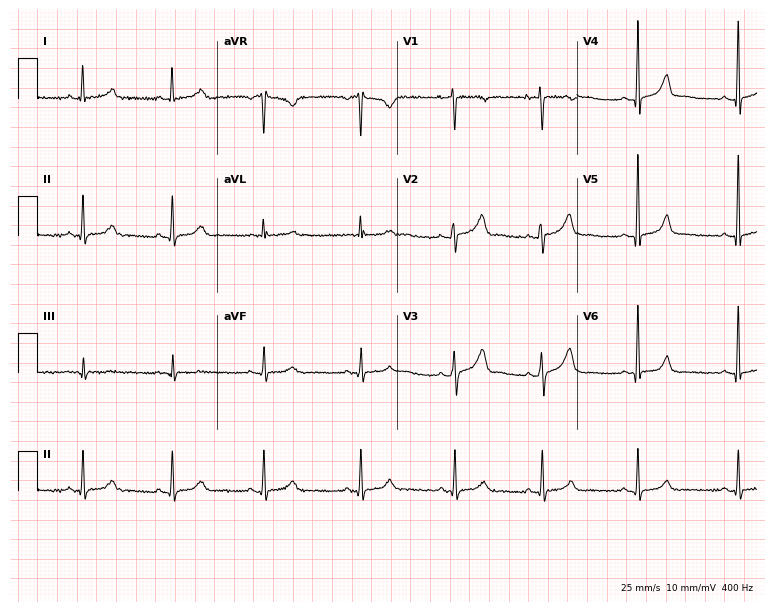
Electrocardiogram, a female, 34 years old. Of the six screened findings (first-degree AV block, right bundle branch block, left bundle branch block, sinus bradycardia, atrial fibrillation, sinus tachycardia), none is recorded. Findings outside these six are not listed.